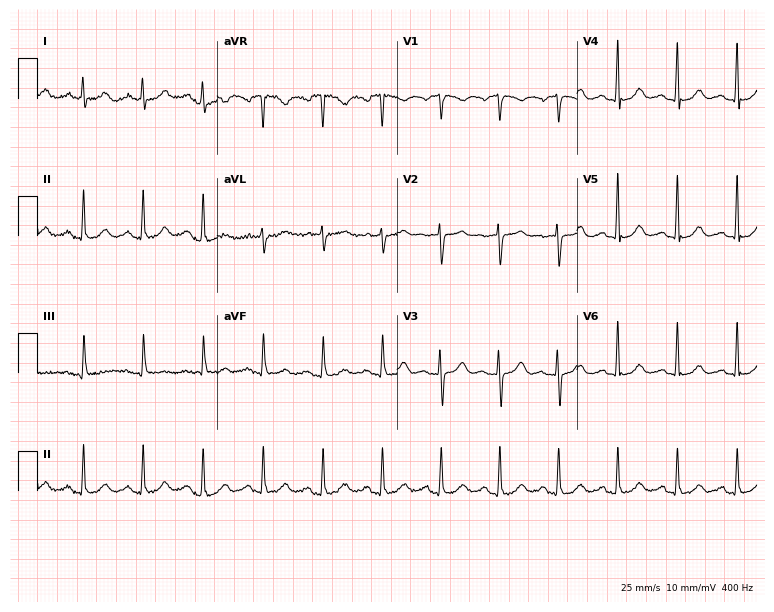
12-lead ECG from a female, 65 years old (7.3-second recording at 400 Hz). No first-degree AV block, right bundle branch block (RBBB), left bundle branch block (LBBB), sinus bradycardia, atrial fibrillation (AF) or sinus tachycardia recorded for this tracing. Findings outside these six are not listed.